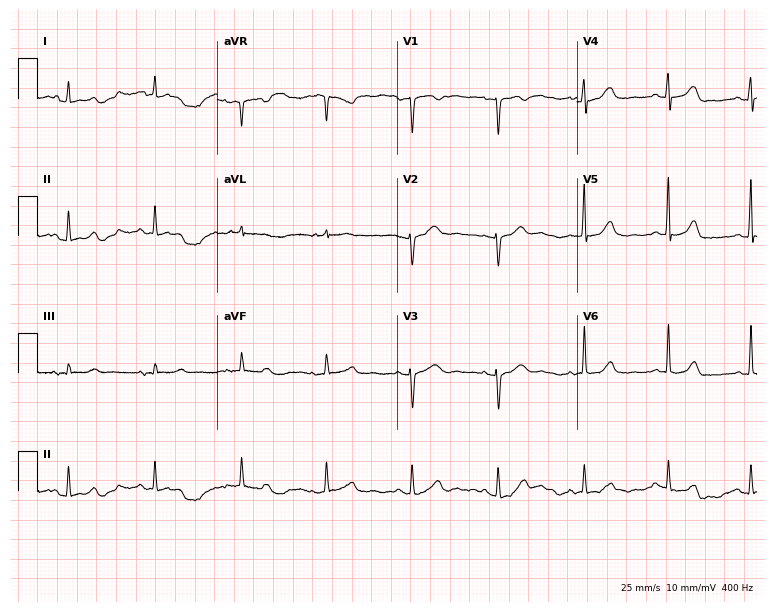
12-lead ECG from a female patient, 50 years old. Labelled as a normal ECG.